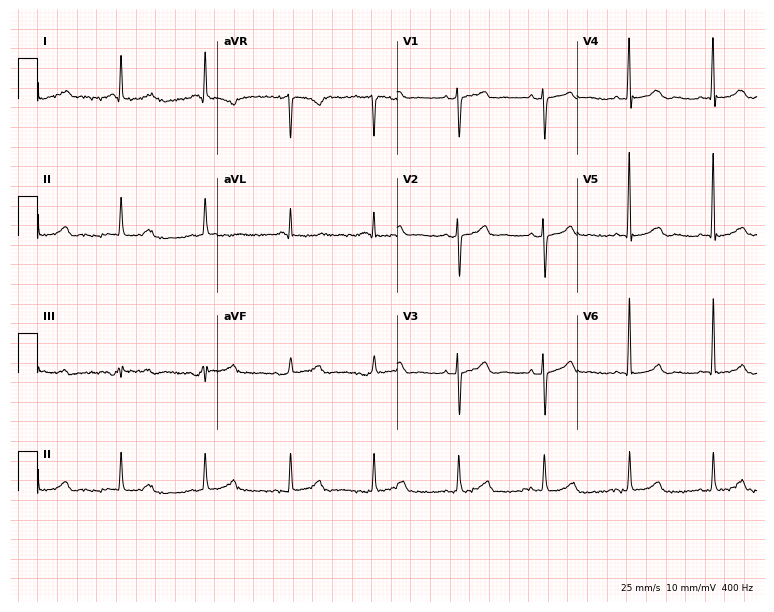
12-lead ECG from a woman, 77 years old. Labelled as a normal ECG.